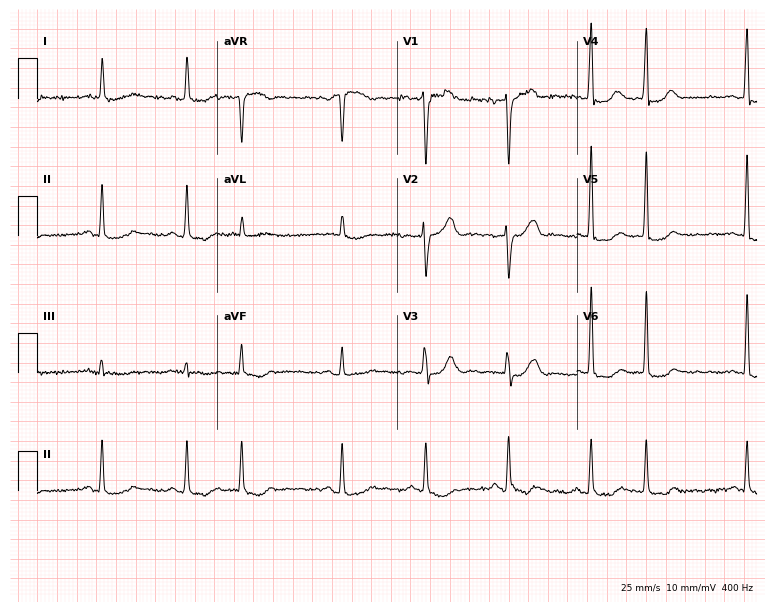
Electrocardiogram (7.3-second recording at 400 Hz), a male patient, 81 years old. Of the six screened findings (first-degree AV block, right bundle branch block, left bundle branch block, sinus bradycardia, atrial fibrillation, sinus tachycardia), none is recorded.